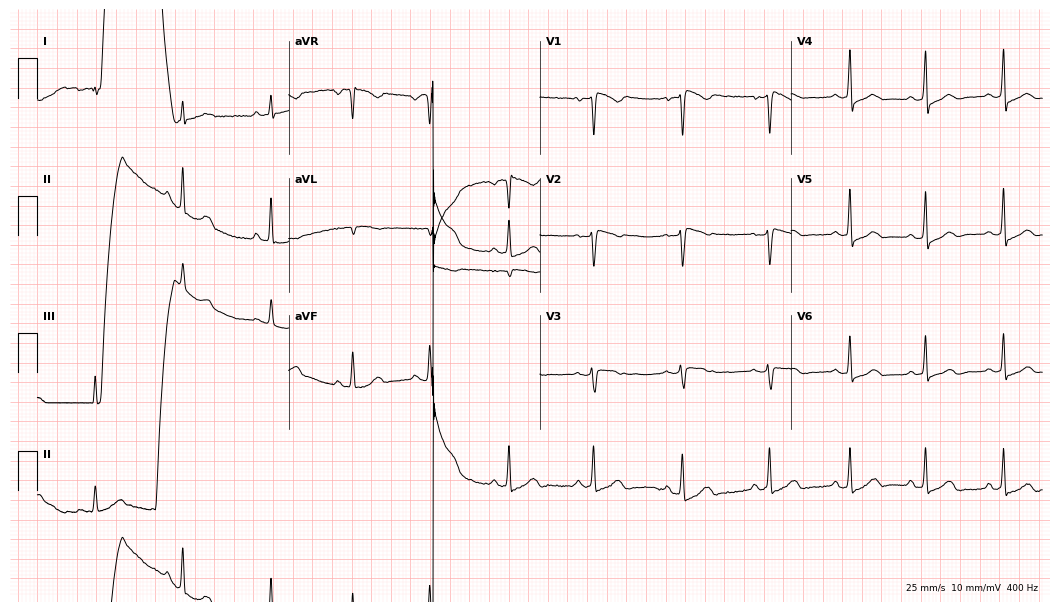
Standard 12-lead ECG recorded from a 39-year-old woman (10.2-second recording at 400 Hz). None of these six findings is recorded: first-degree AV block, right bundle branch block, left bundle branch block, sinus bradycardia, atrial fibrillation, sinus tachycardia.